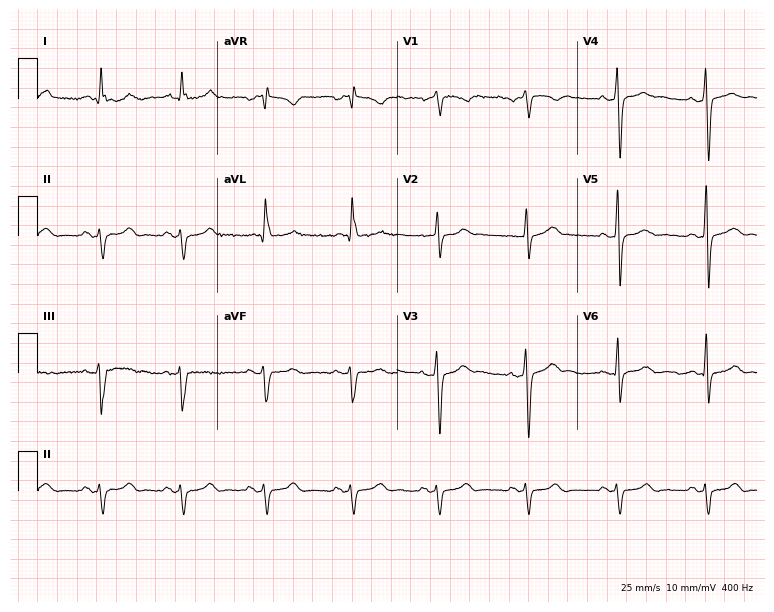
Standard 12-lead ECG recorded from a 58-year-old male (7.3-second recording at 400 Hz). None of these six findings is recorded: first-degree AV block, right bundle branch block, left bundle branch block, sinus bradycardia, atrial fibrillation, sinus tachycardia. Only these six findings were labelled.